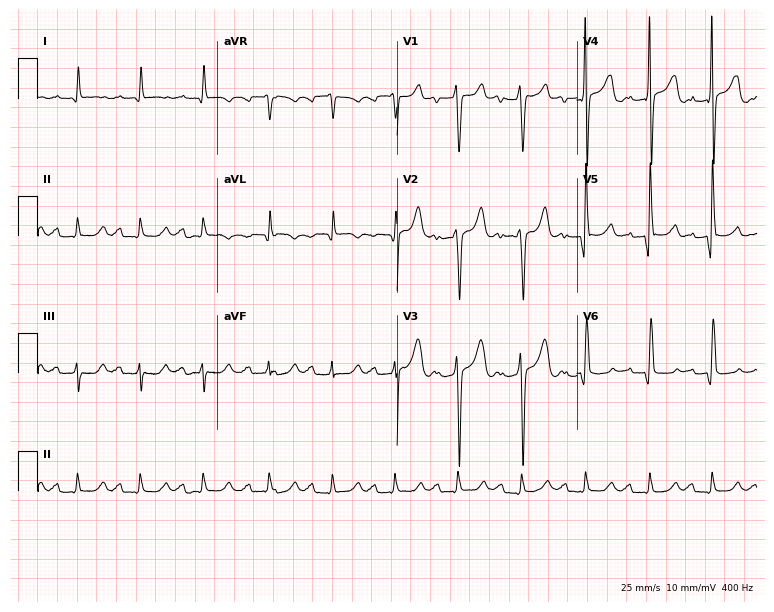
Electrocardiogram, a male, 34 years old. Interpretation includes first-degree AV block.